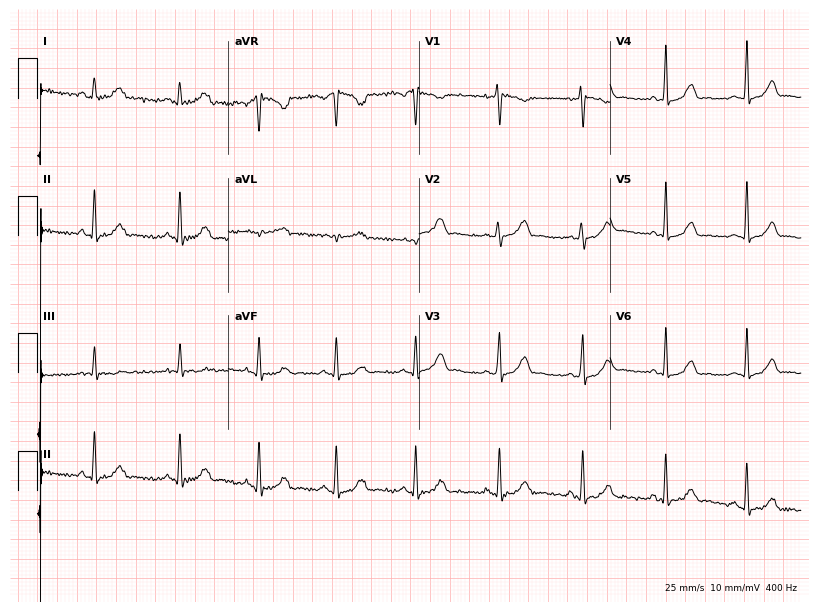
Standard 12-lead ECG recorded from a 30-year-old female. None of these six findings is recorded: first-degree AV block, right bundle branch block, left bundle branch block, sinus bradycardia, atrial fibrillation, sinus tachycardia. Findings outside these six are not listed.